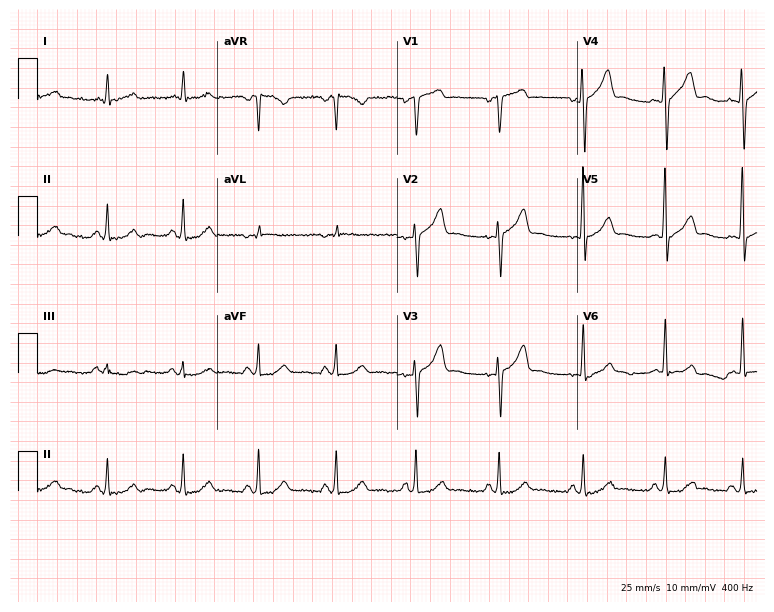
Standard 12-lead ECG recorded from a male patient, 76 years old (7.3-second recording at 400 Hz). Read as a normal ECG.